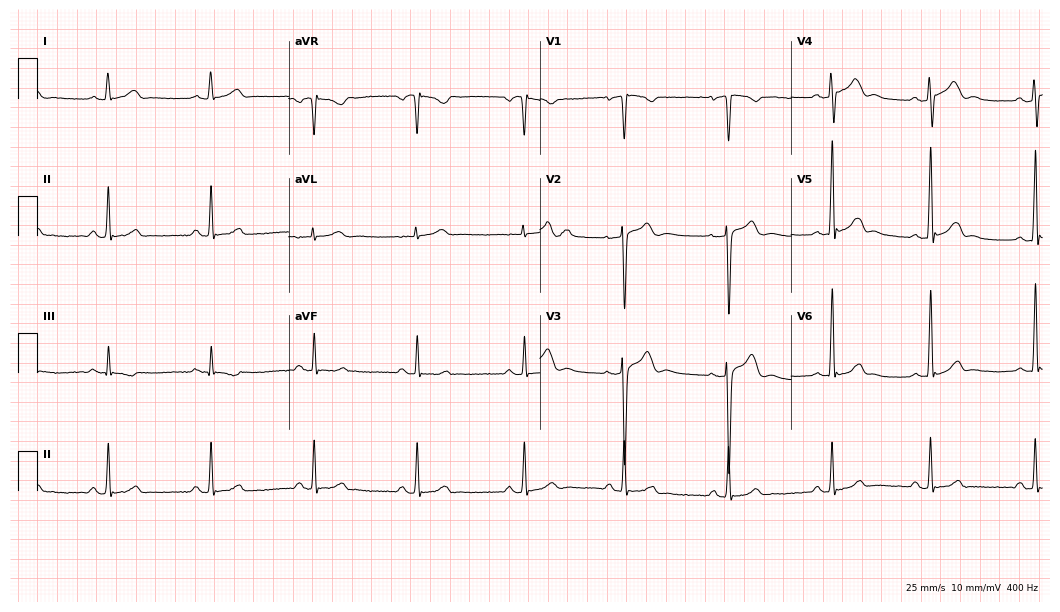
12-lead ECG (10.2-second recording at 400 Hz) from a 22-year-old male. Labelled as a normal ECG.